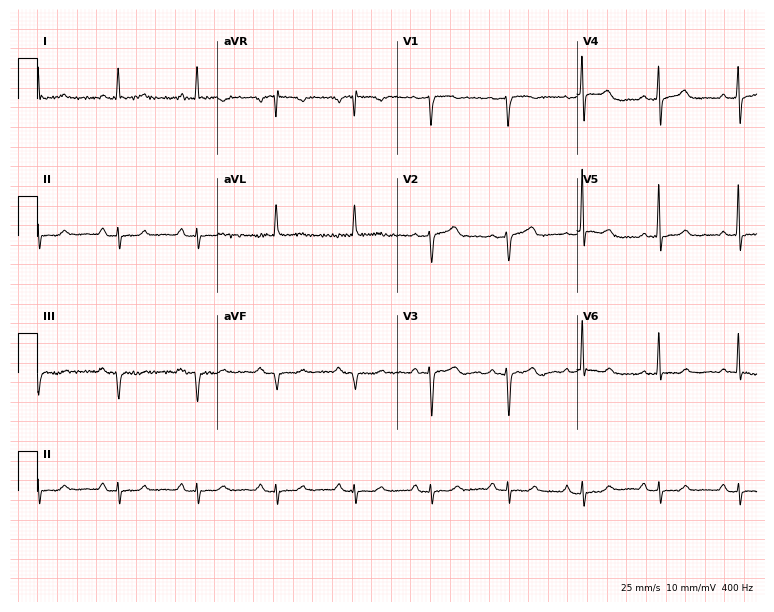
Resting 12-lead electrocardiogram (7.3-second recording at 400 Hz). Patient: a 77-year-old woman. None of these six findings is recorded: first-degree AV block, right bundle branch block, left bundle branch block, sinus bradycardia, atrial fibrillation, sinus tachycardia.